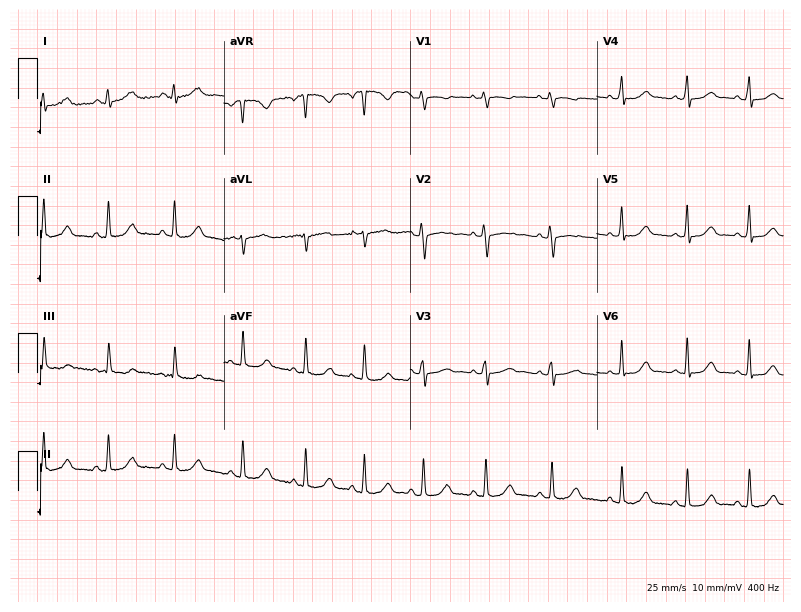
Resting 12-lead electrocardiogram (7.6-second recording at 400 Hz). Patient: a woman, 31 years old. Read as a normal ECG.